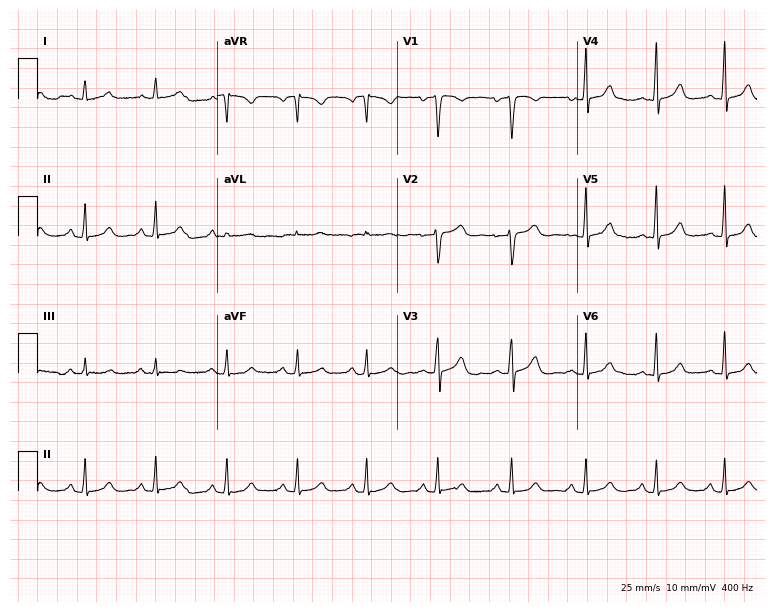
Electrocardiogram, a 34-year-old female patient. Of the six screened findings (first-degree AV block, right bundle branch block (RBBB), left bundle branch block (LBBB), sinus bradycardia, atrial fibrillation (AF), sinus tachycardia), none is recorded.